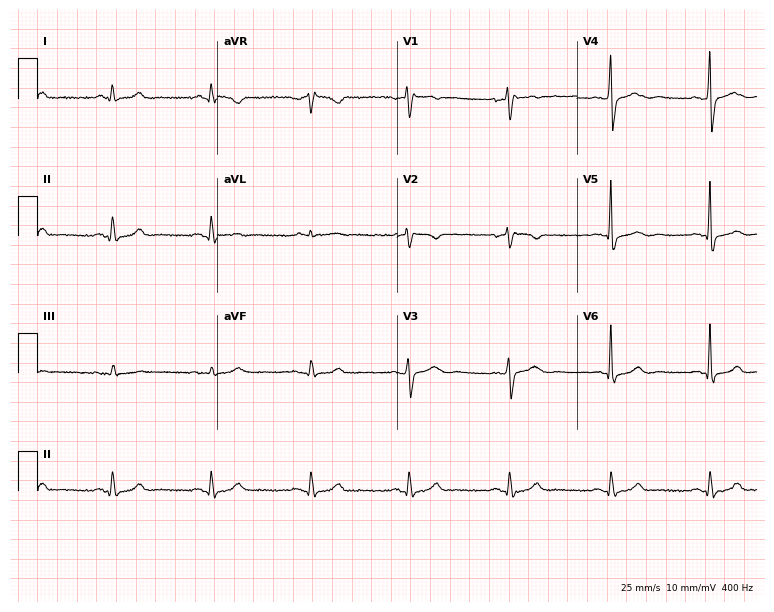
12-lead ECG from a male patient, 60 years old. Labelled as a normal ECG.